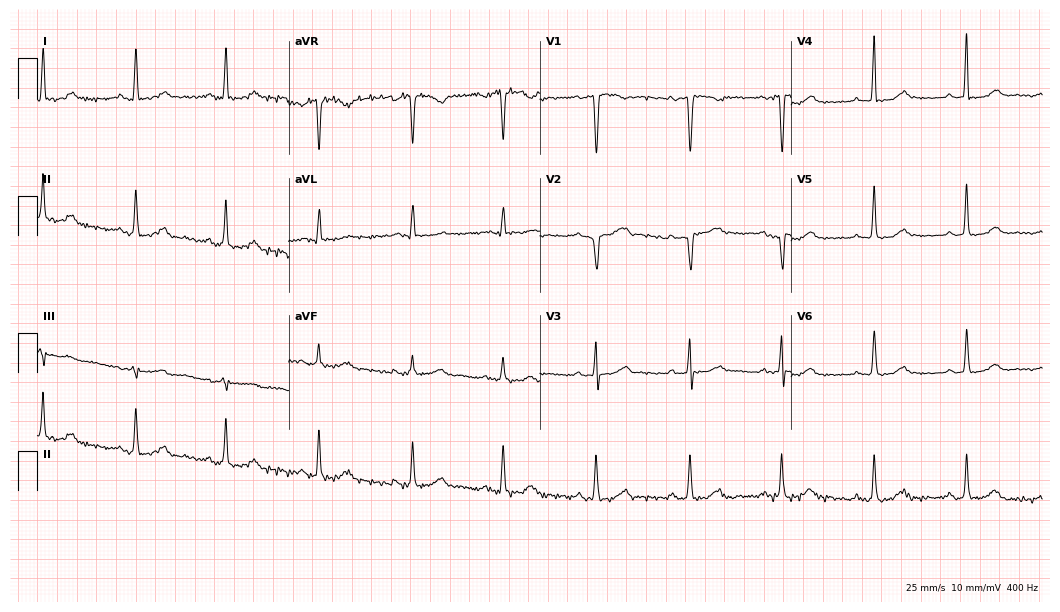
12-lead ECG from a 63-year-old woman (10.2-second recording at 400 Hz). No first-degree AV block, right bundle branch block, left bundle branch block, sinus bradycardia, atrial fibrillation or sinus tachycardia recorded for this tracing.